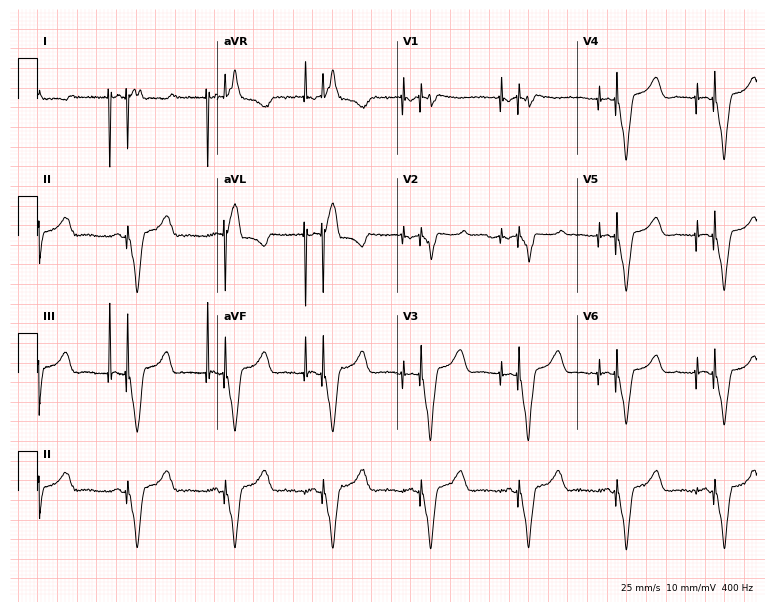
Electrocardiogram, a female, 46 years old. Of the six screened findings (first-degree AV block, right bundle branch block, left bundle branch block, sinus bradycardia, atrial fibrillation, sinus tachycardia), none is recorded. Other findings, if any, are not listed.